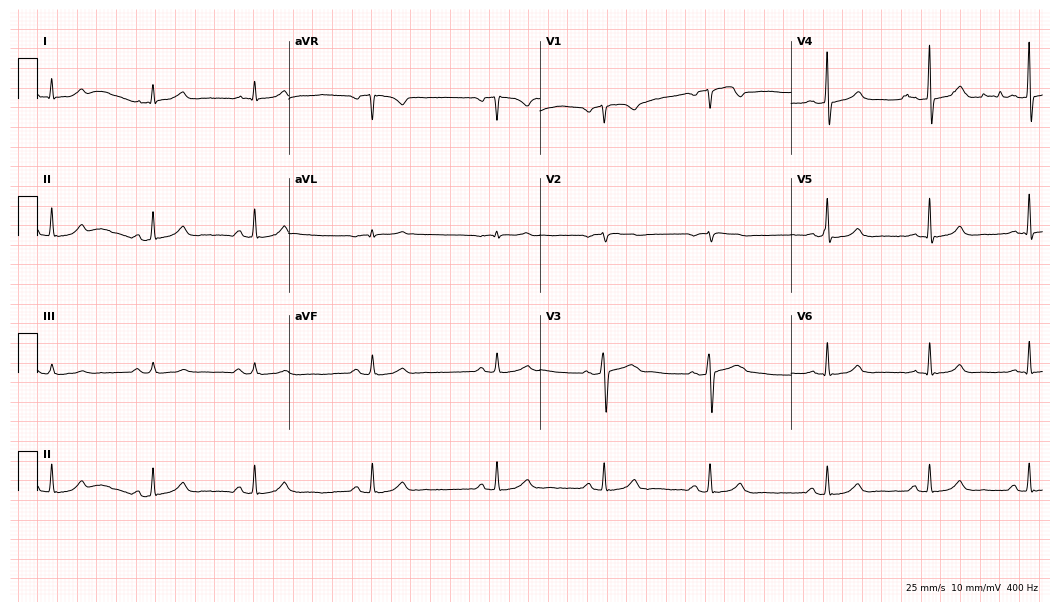
Standard 12-lead ECG recorded from a man, 39 years old (10.2-second recording at 400 Hz). None of these six findings is recorded: first-degree AV block, right bundle branch block, left bundle branch block, sinus bradycardia, atrial fibrillation, sinus tachycardia. Findings outside these six are not listed.